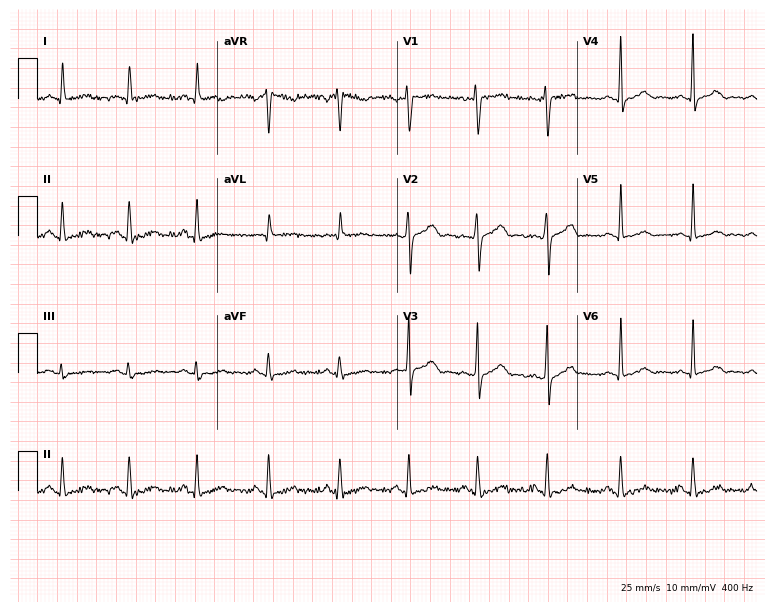
Resting 12-lead electrocardiogram. Patient: a man, 54 years old. None of these six findings is recorded: first-degree AV block, right bundle branch block, left bundle branch block, sinus bradycardia, atrial fibrillation, sinus tachycardia.